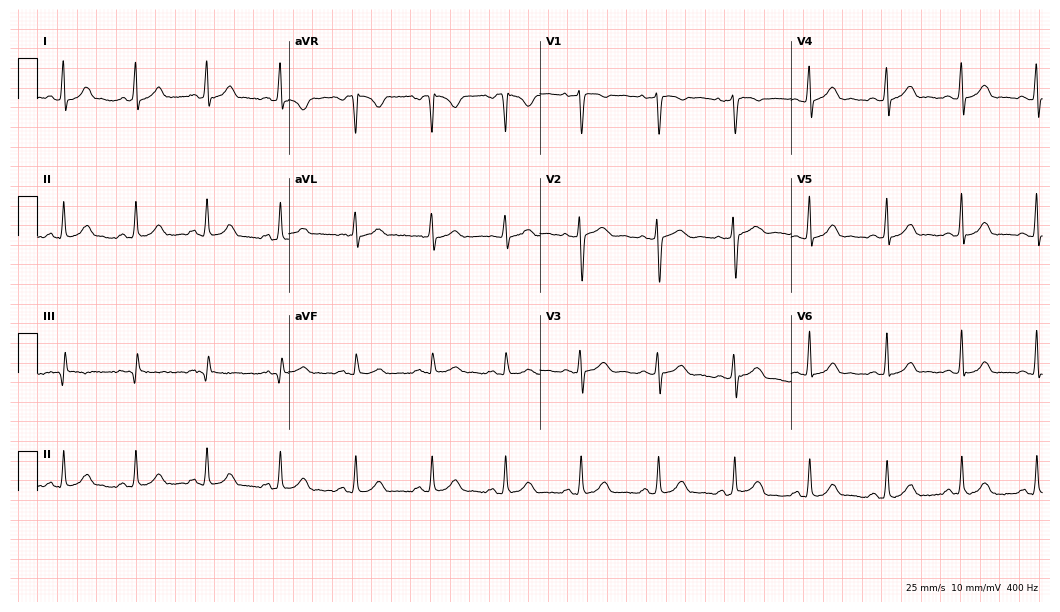
Electrocardiogram (10.2-second recording at 400 Hz), a 33-year-old female patient. Overall reading on record: normal ECG.